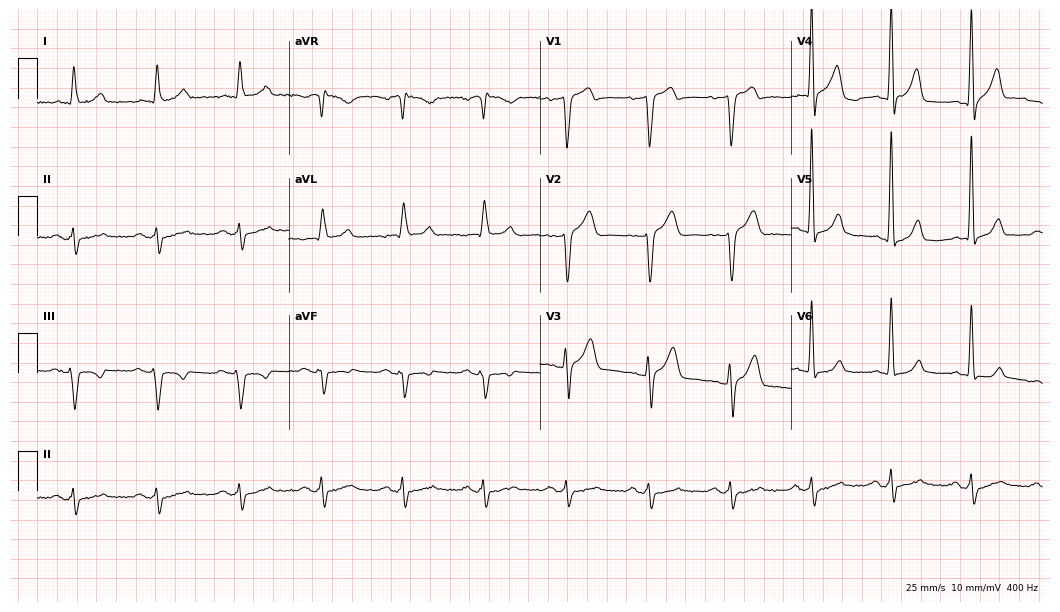
12-lead ECG from a 74-year-old male (10.2-second recording at 400 Hz). No first-degree AV block, right bundle branch block, left bundle branch block, sinus bradycardia, atrial fibrillation or sinus tachycardia recorded for this tracing.